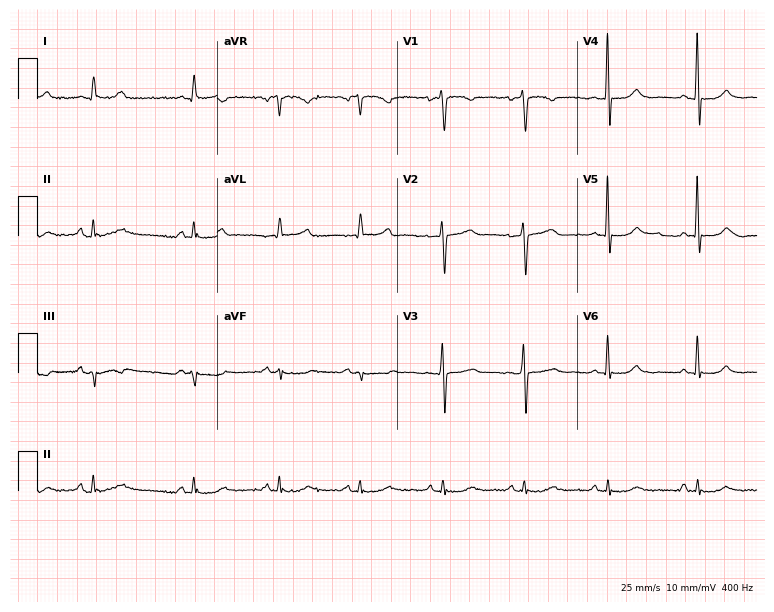
Standard 12-lead ECG recorded from a male, 70 years old. Read as a normal ECG.